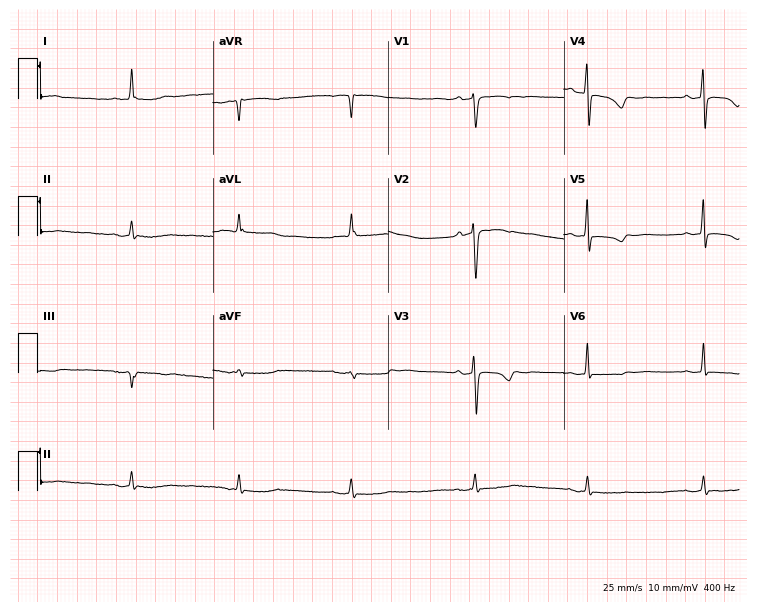
Resting 12-lead electrocardiogram (7.2-second recording at 400 Hz). Patient: a woman, 77 years old. None of these six findings is recorded: first-degree AV block, right bundle branch block, left bundle branch block, sinus bradycardia, atrial fibrillation, sinus tachycardia.